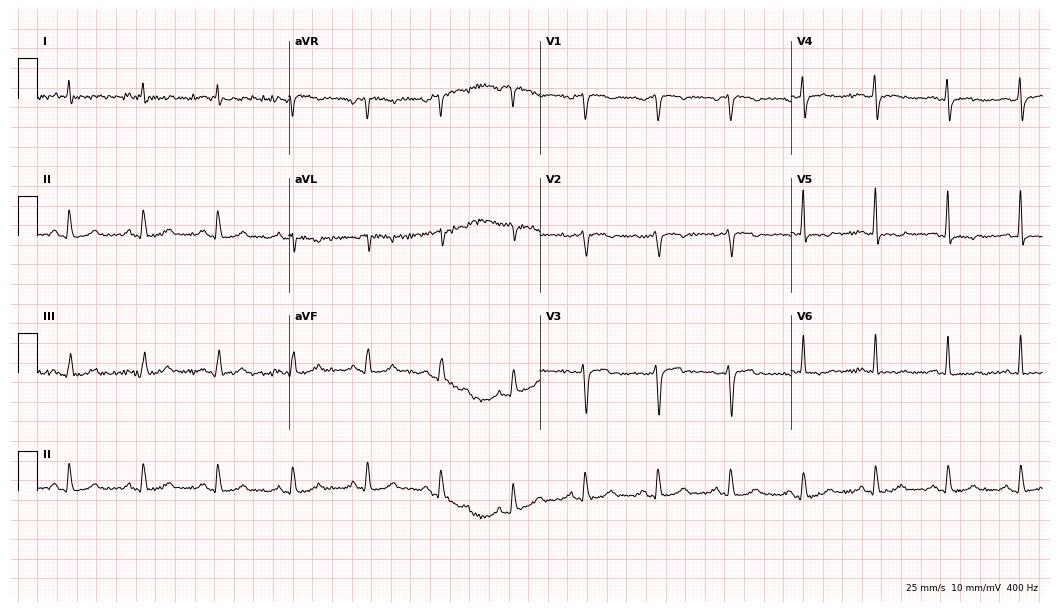
12-lead ECG from a male, 53 years old. Screened for six findings — first-degree AV block, right bundle branch block, left bundle branch block, sinus bradycardia, atrial fibrillation, sinus tachycardia — none is recorded. Other findings, if any, are not listed.